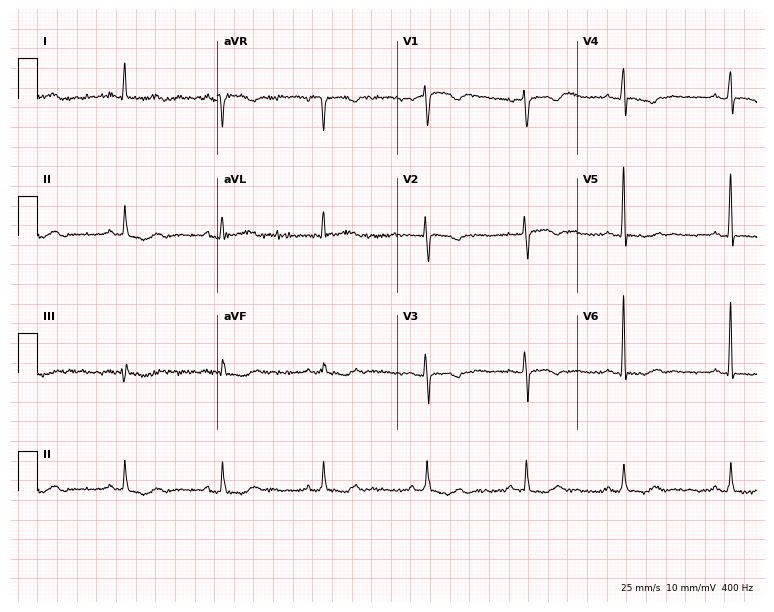
12-lead ECG from a woman, 55 years old. No first-degree AV block, right bundle branch block, left bundle branch block, sinus bradycardia, atrial fibrillation or sinus tachycardia recorded for this tracing. Other findings, if any, are not listed.